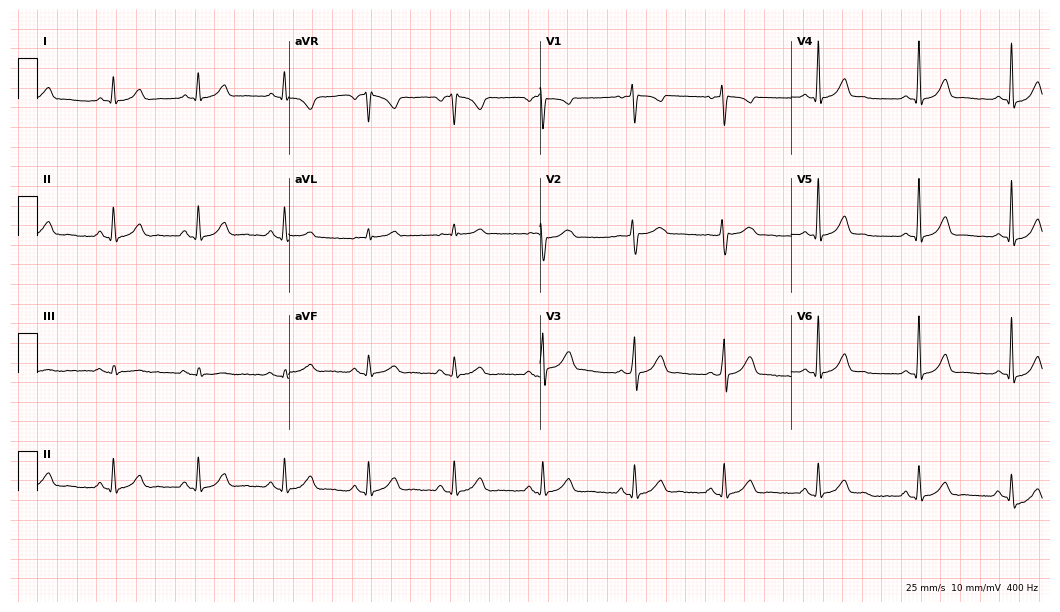
Standard 12-lead ECG recorded from a woman, 38 years old (10.2-second recording at 400 Hz). Read as a normal ECG.